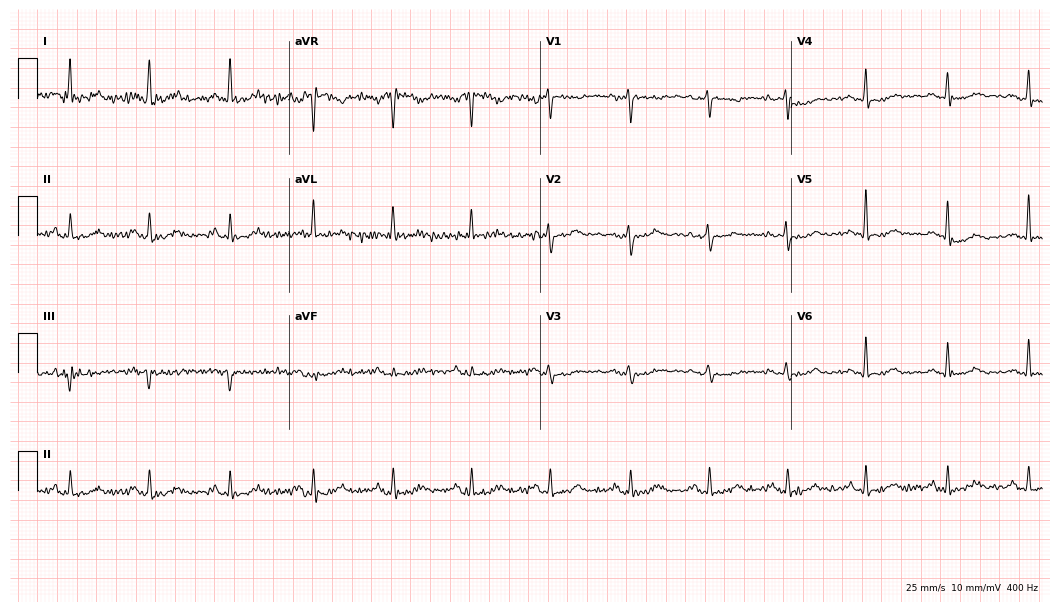
Electrocardiogram (10.2-second recording at 400 Hz), a 50-year-old woman. Of the six screened findings (first-degree AV block, right bundle branch block, left bundle branch block, sinus bradycardia, atrial fibrillation, sinus tachycardia), none is recorded.